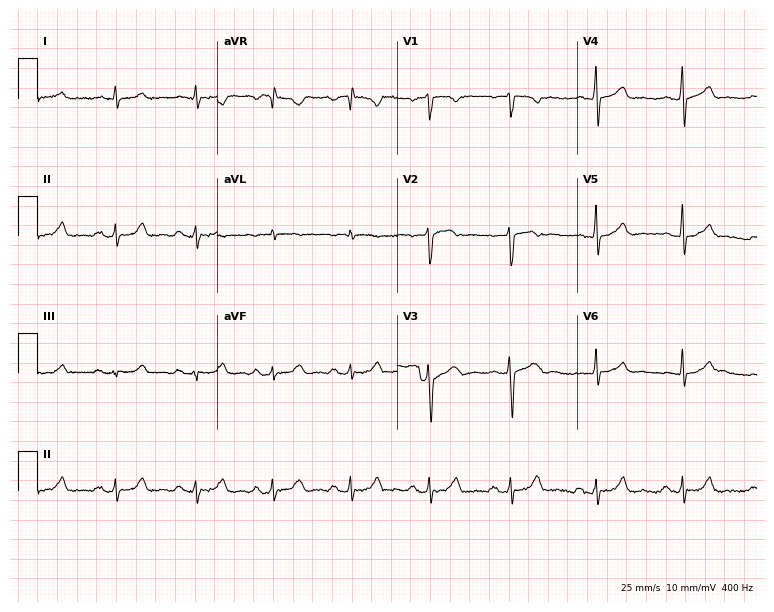
12-lead ECG (7.3-second recording at 400 Hz) from a male, 43 years old. Labelled as a normal ECG.